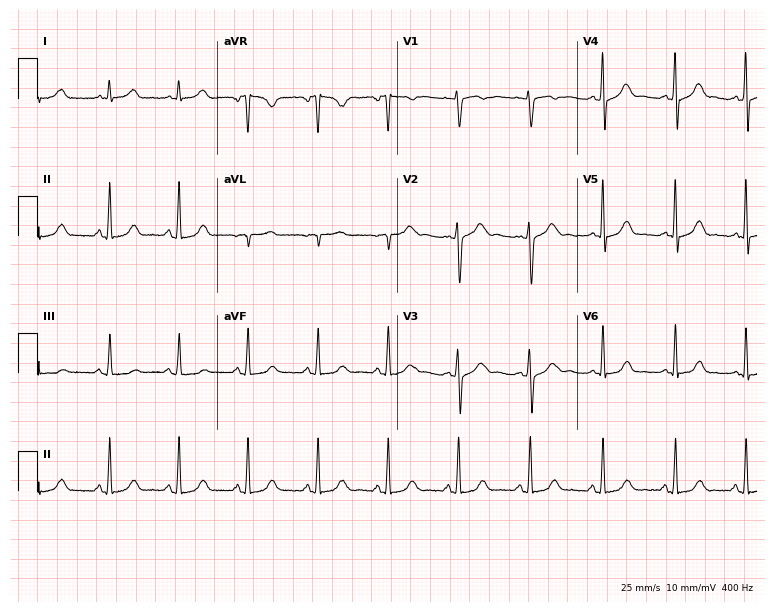
ECG (7.3-second recording at 400 Hz) — a 40-year-old female. Labelled as a normal ECG.